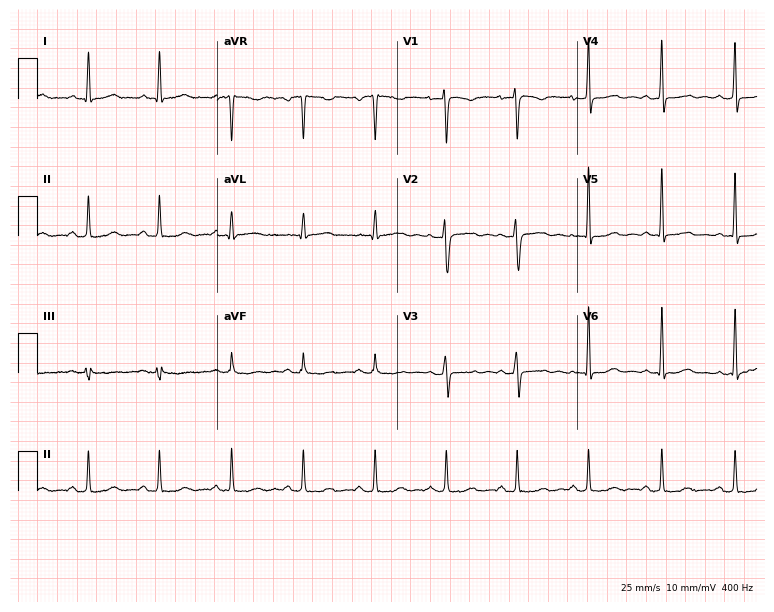
Electrocardiogram, a 50-year-old woman. Of the six screened findings (first-degree AV block, right bundle branch block, left bundle branch block, sinus bradycardia, atrial fibrillation, sinus tachycardia), none is recorded.